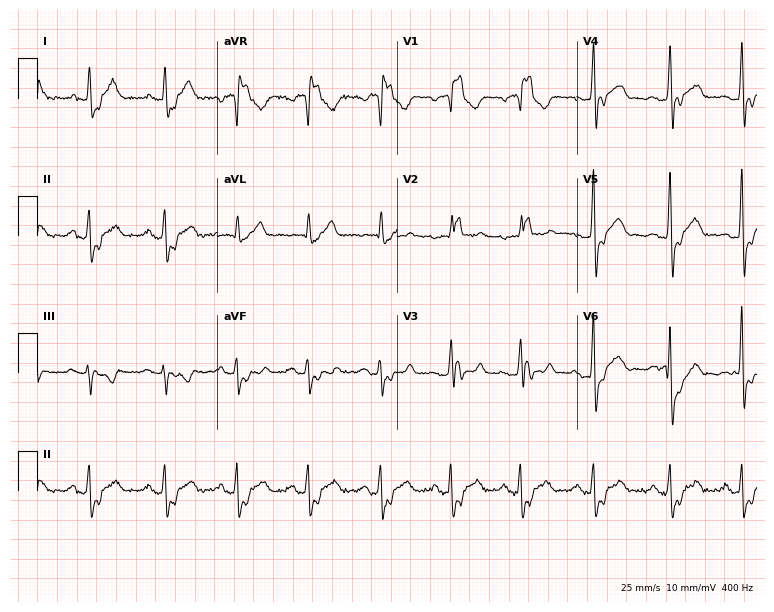
Standard 12-lead ECG recorded from a 44-year-old man (7.3-second recording at 400 Hz). None of these six findings is recorded: first-degree AV block, right bundle branch block (RBBB), left bundle branch block (LBBB), sinus bradycardia, atrial fibrillation (AF), sinus tachycardia. Only these six findings were labelled.